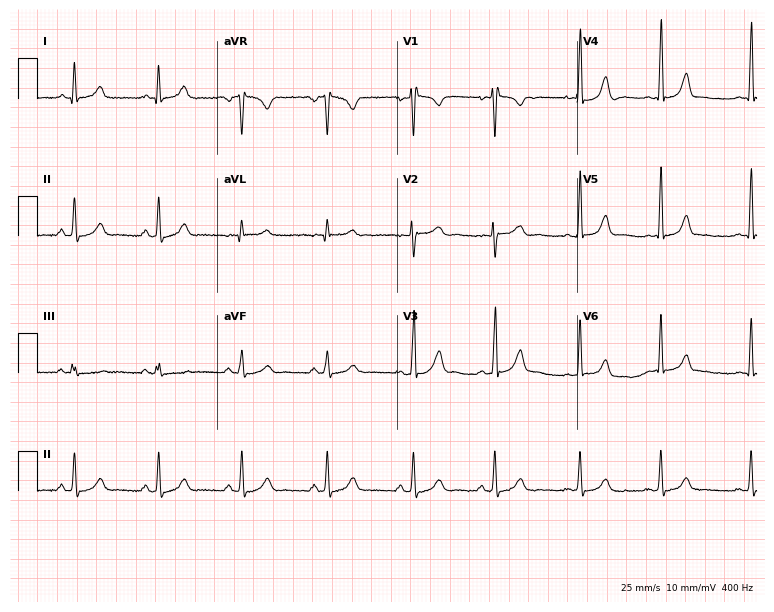
Electrocardiogram, a 24-year-old woman. Overall reading on record: normal ECG.